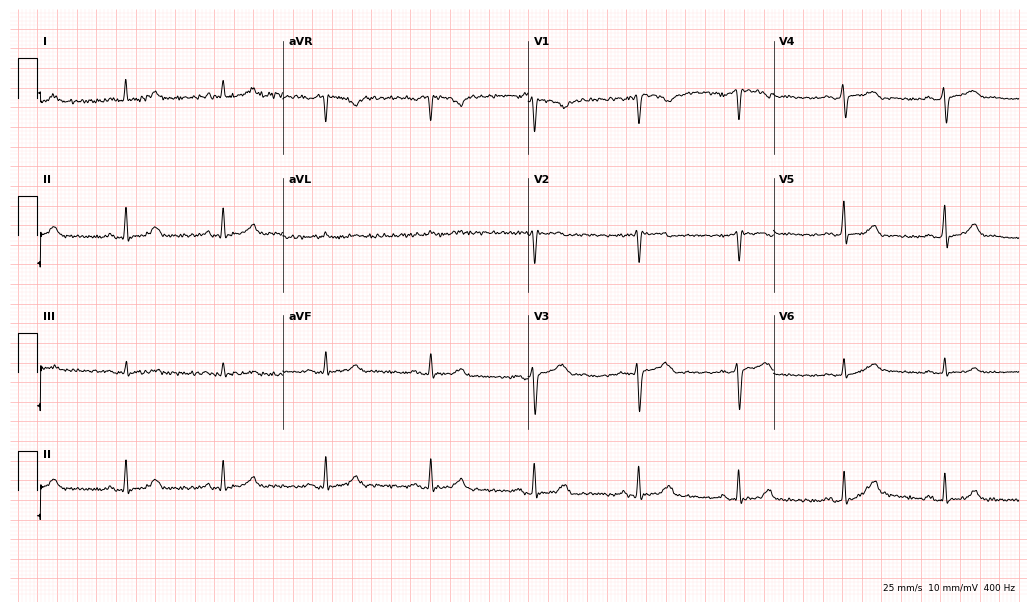
Electrocardiogram (10-second recording at 400 Hz), a 43-year-old female patient. Overall reading on record: normal ECG.